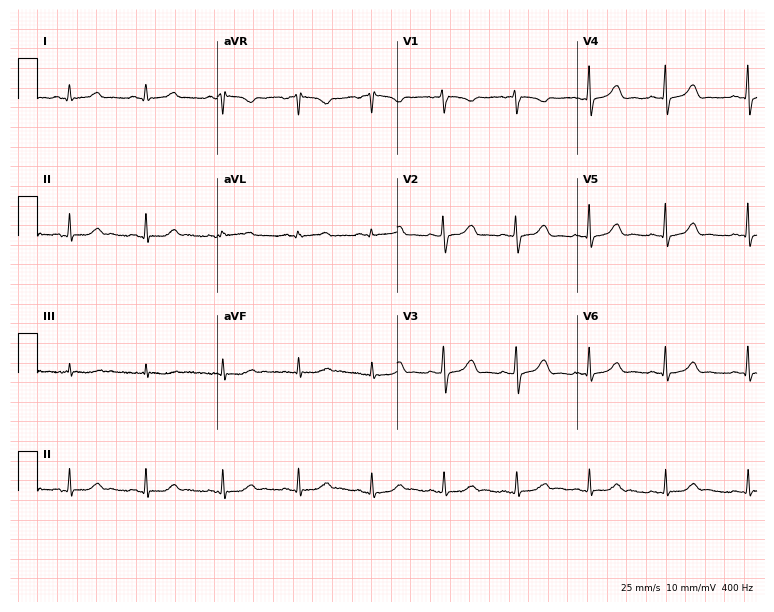
Electrocardiogram, a 32-year-old woman. Overall reading on record: normal ECG.